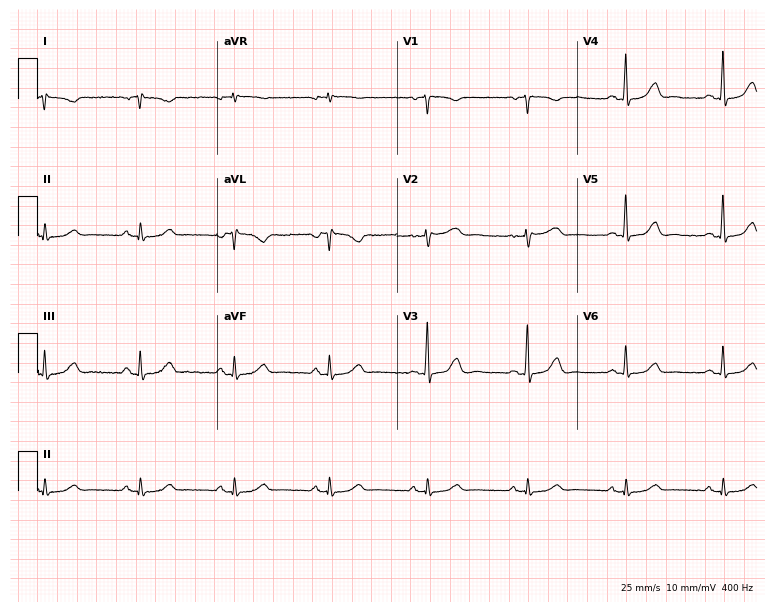
Resting 12-lead electrocardiogram (7.3-second recording at 400 Hz). Patient: a female, 70 years old. None of these six findings is recorded: first-degree AV block, right bundle branch block, left bundle branch block, sinus bradycardia, atrial fibrillation, sinus tachycardia.